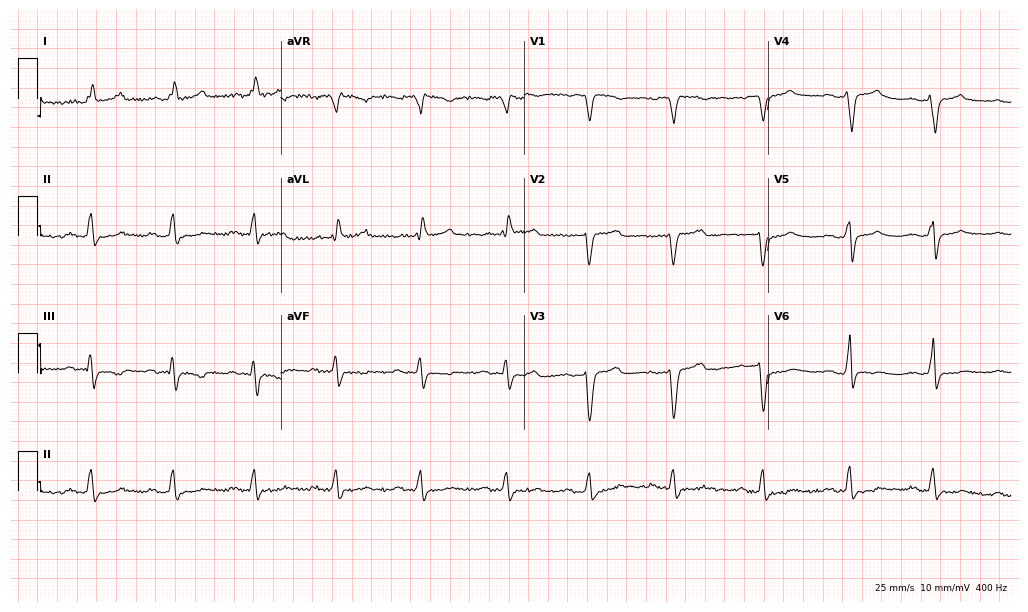
Electrocardiogram (9.9-second recording at 400 Hz), a woman, 82 years old. Interpretation includes left bundle branch block.